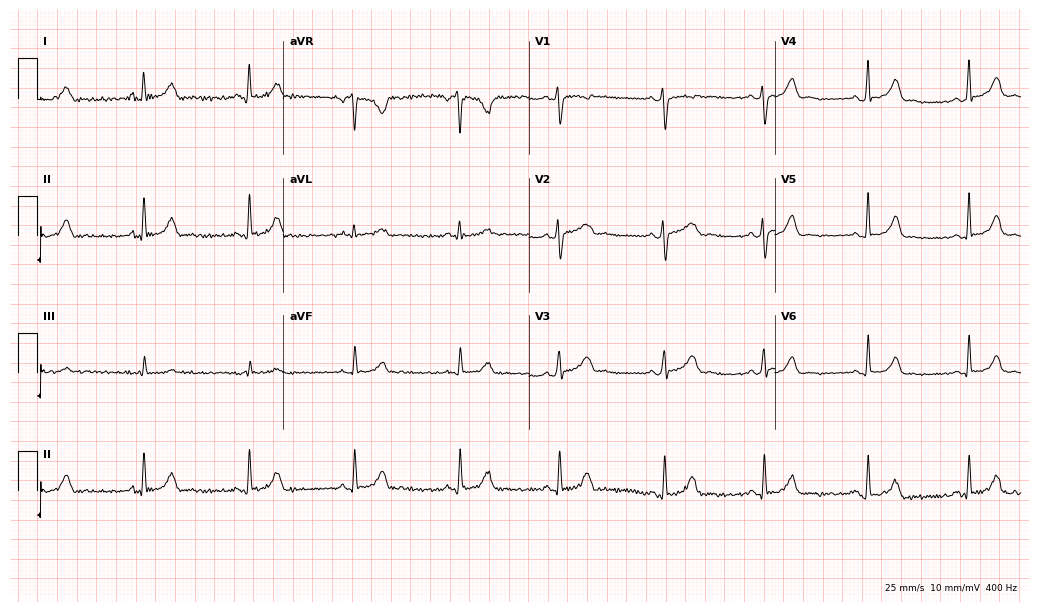
12-lead ECG from a 24-year-old female (10-second recording at 400 Hz). Recorded interpretation: within normal limits.